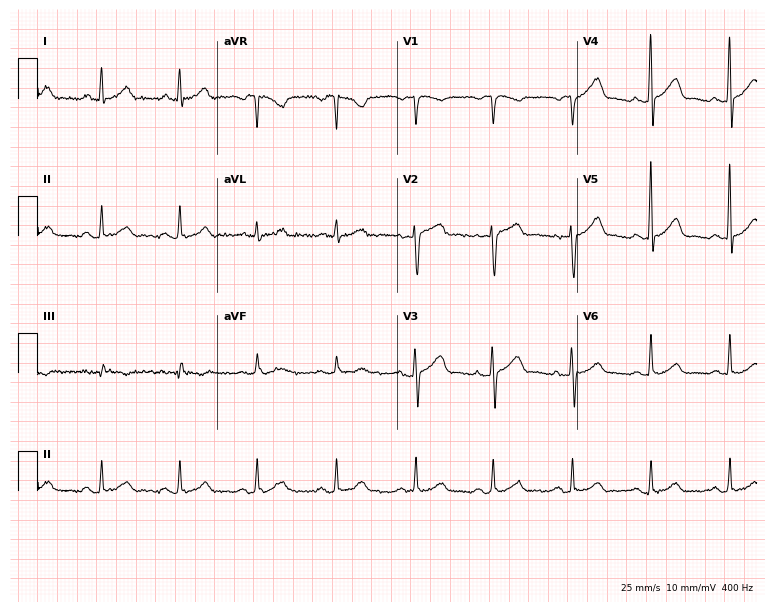
Standard 12-lead ECG recorded from a 54-year-old female. Read as a normal ECG.